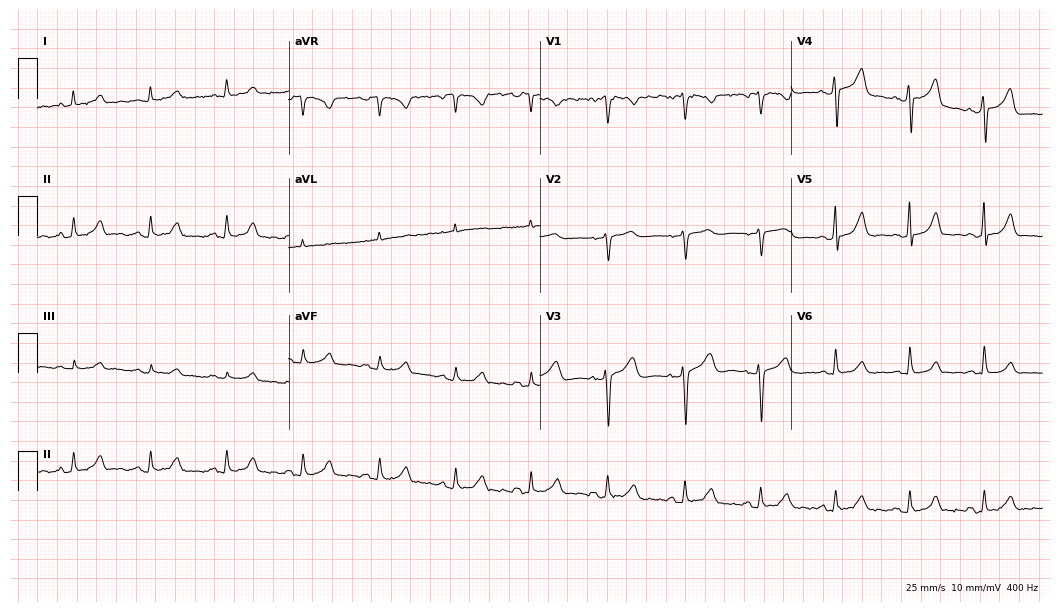
Standard 12-lead ECG recorded from a woman, 44 years old. Read as a normal ECG.